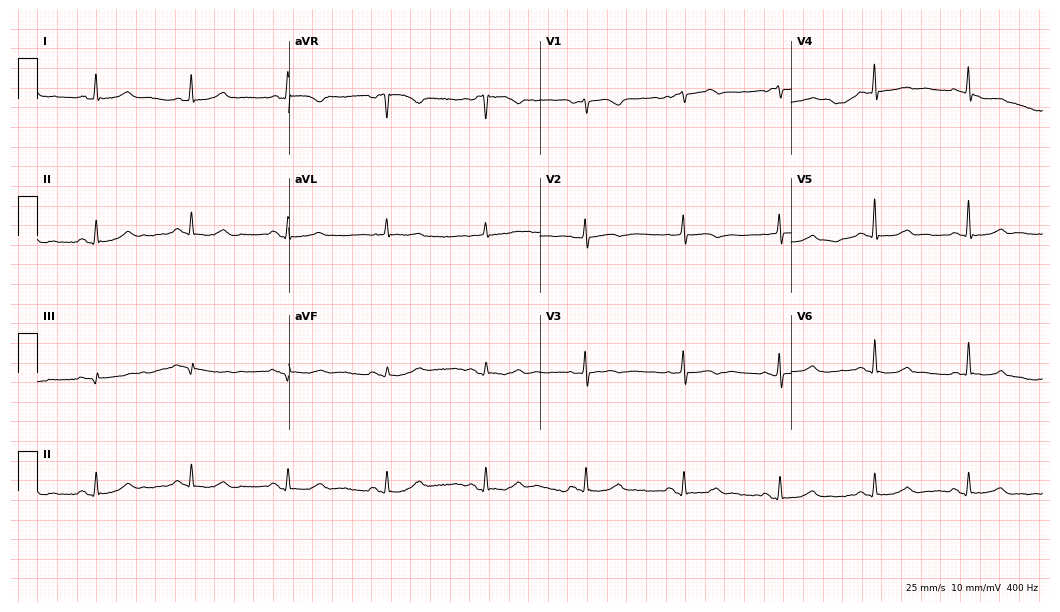
12-lead ECG from a female patient, 83 years old. Labelled as a normal ECG.